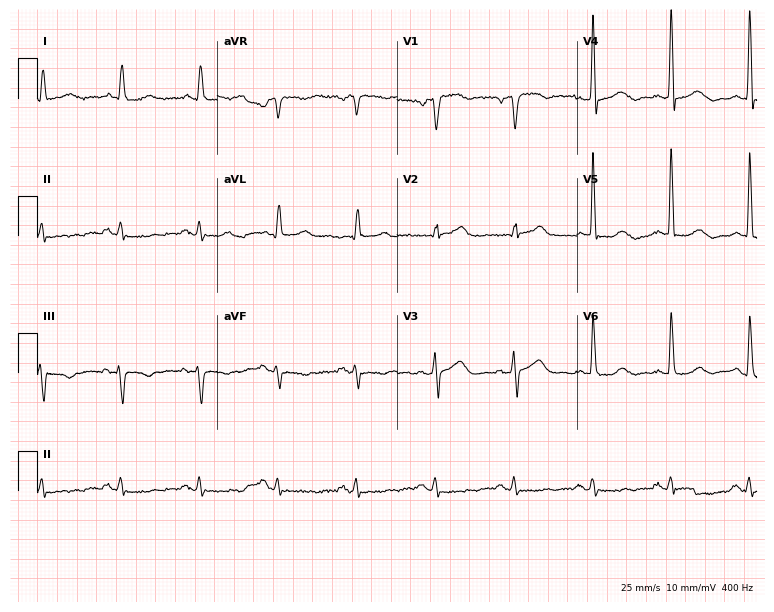
12-lead ECG from a 69-year-old man. Screened for six findings — first-degree AV block, right bundle branch block, left bundle branch block, sinus bradycardia, atrial fibrillation, sinus tachycardia — none is recorded.